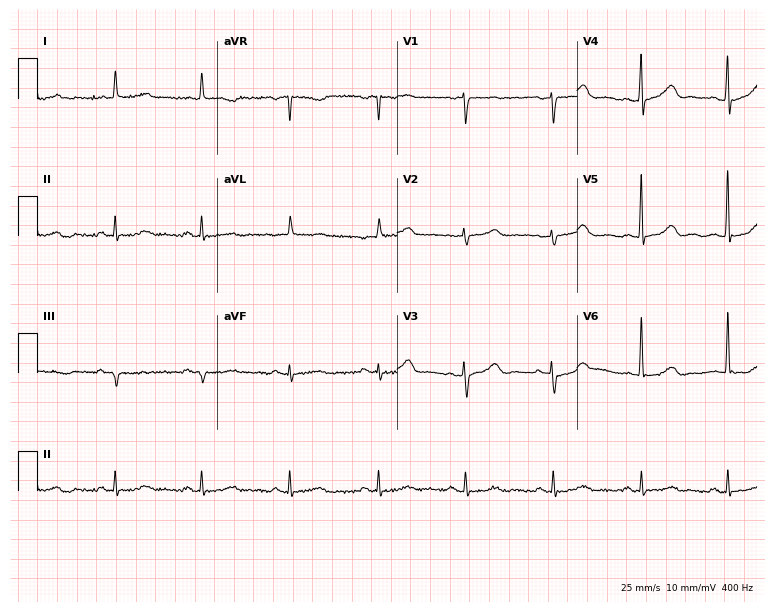
ECG — an 88-year-old woman. Labelled as a normal ECG.